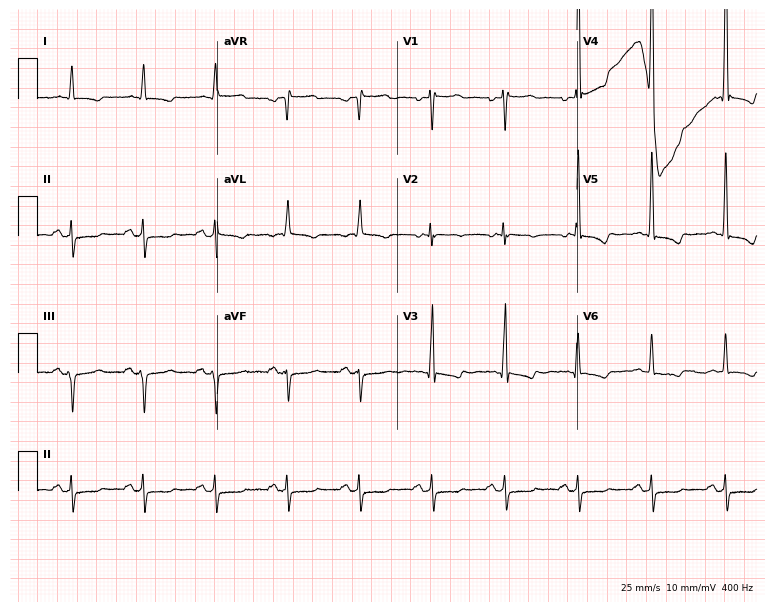
ECG (7.3-second recording at 400 Hz) — a man, 83 years old. Screened for six findings — first-degree AV block, right bundle branch block (RBBB), left bundle branch block (LBBB), sinus bradycardia, atrial fibrillation (AF), sinus tachycardia — none is recorded. Findings outside these six are not listed.